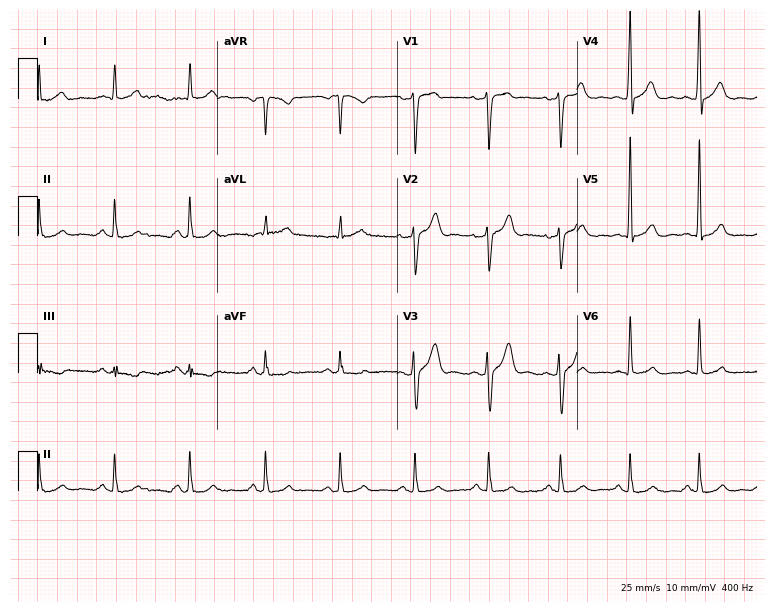
Standard 12-lead ECG recorded from a man, 39 years old. None of these six findings is recorded: first-degree AV block, right bundle branch block, left bundle branch block, sinus bradycardia, atrial fibrillation, sinus tachycardia. Other findings, if any, are not listed.